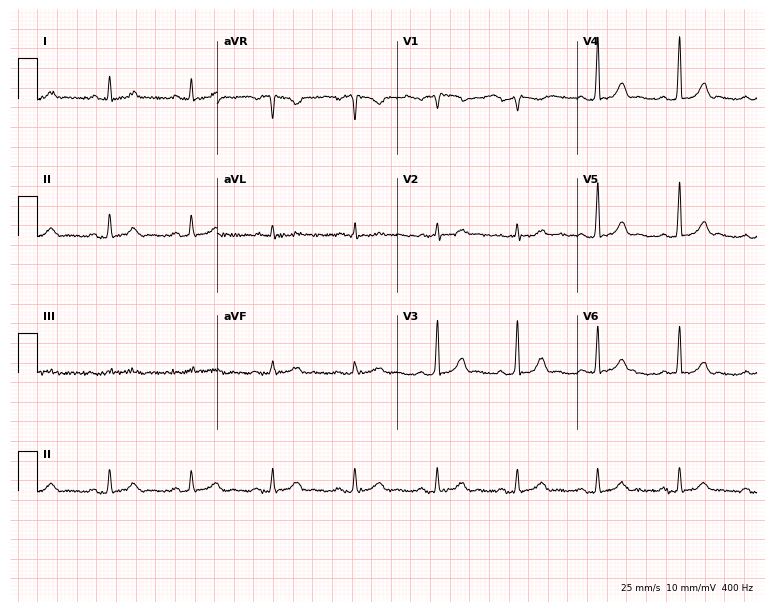
Resting 12-lead electrocardiogram. Patient: a male, 47 years old. None of these six findings is recorded: first-degree AV block, right bundle branch block, left bundle branch block, sinus bradycardia, atrial fibrillation, sinus tachycardia. Other findings, if any, are not listed.